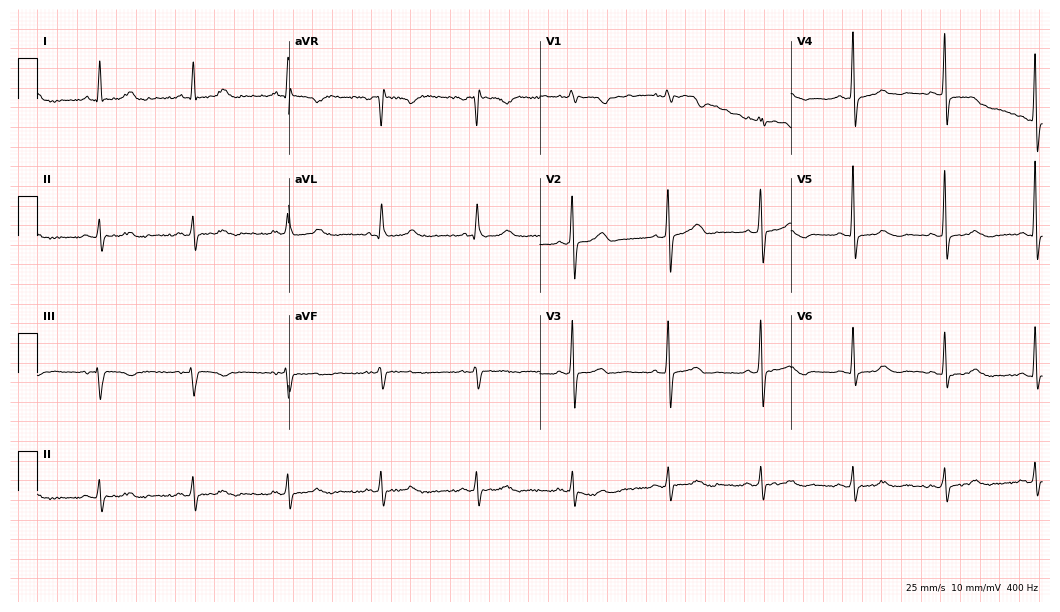
Resting 12-lead electrocardiogram. Patient: a female, 73 years old. None of these six findings is recorded: first-degree AV block, right bundle branch block (RBBB), left bundle branch block (LBBB), sinus bradycardia, atrial fibrillation (AF), sinus tachycardia.